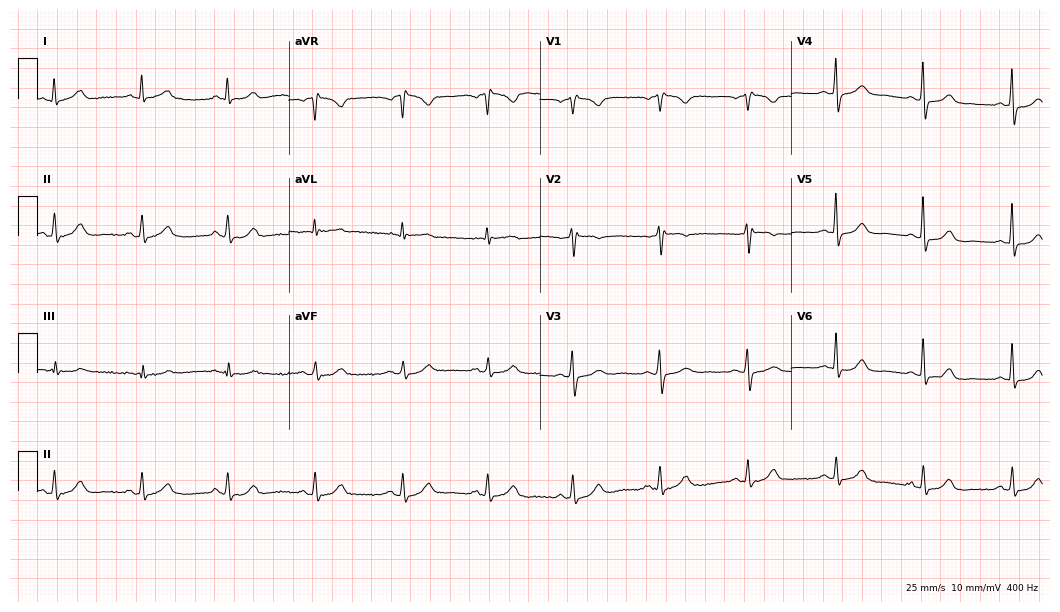
Electrocardiogram (10.2-second recording at 400 Hz), a female patient, 69 years old. Overall reading on record: normal ECG.